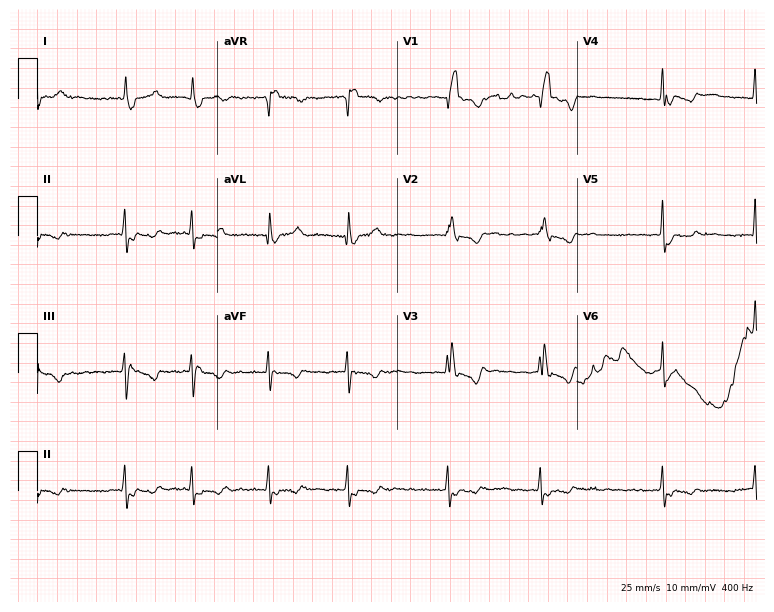
ECG — a 73-year-old female. Findings include right bundle branch block (RBBB), atrial fibrillation (AF).